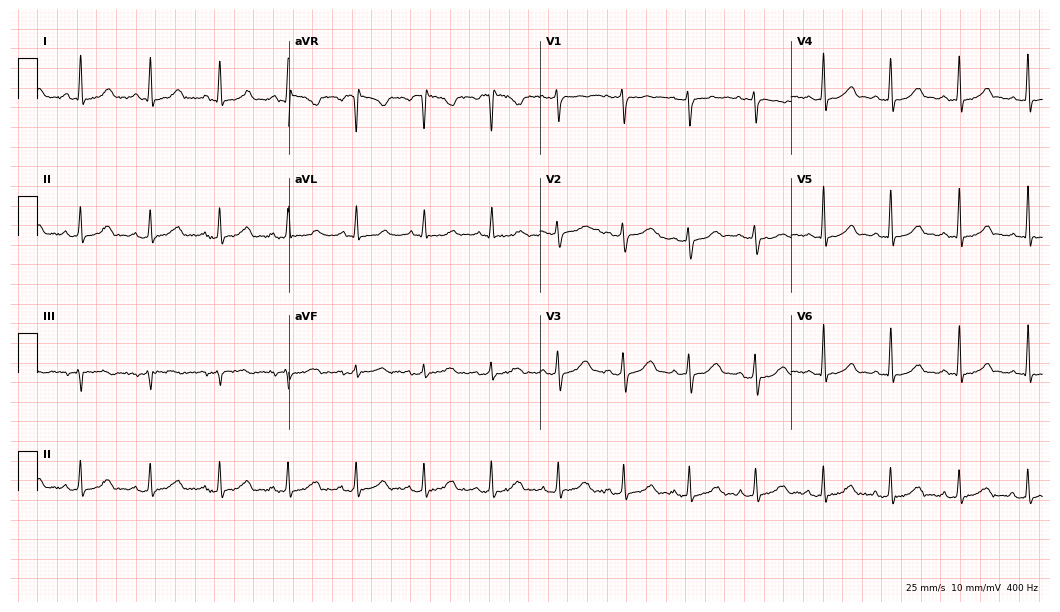
12-lead ECG from a woman, 30 years old. Labelled as a normal ECG.